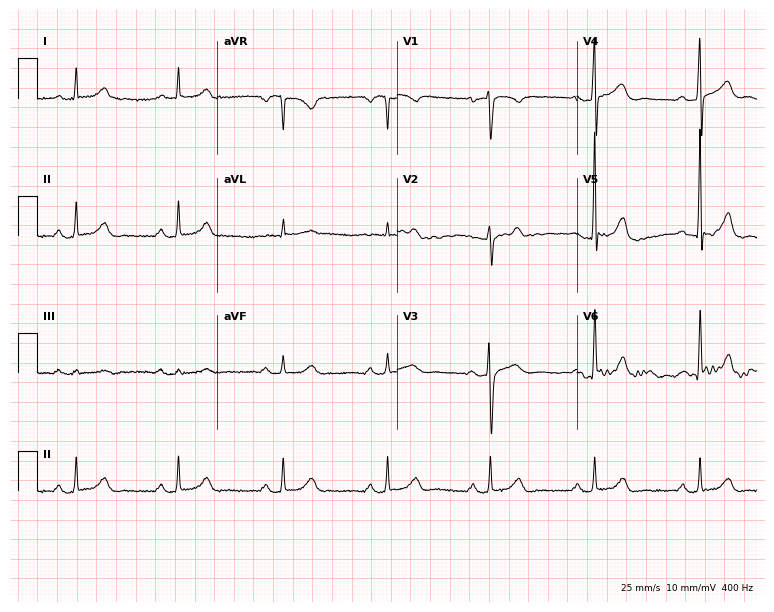
Electrocardiogram, a 52-year-old male. Overall reading on record: normal ECG.